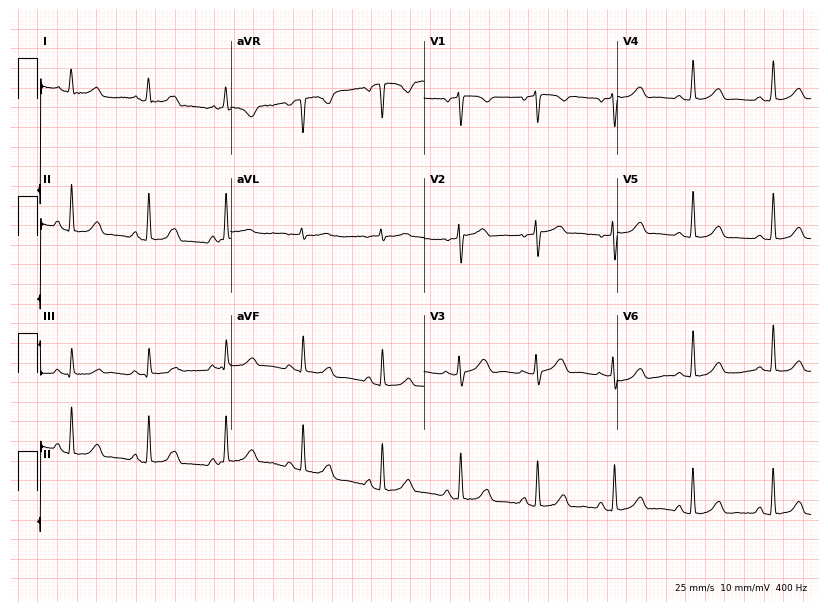
ECG (7.9-second recording at 400 Hz) — a woman, 49 years old. Screened for six findings — first-degree AV block, right bundle branch block (RBBB), left bundle branch block (LBBB), sinus bradycardia, atrial fibrillation (AF), sinus tachycardia — none is recorded. Other findings, if any, are not listed.